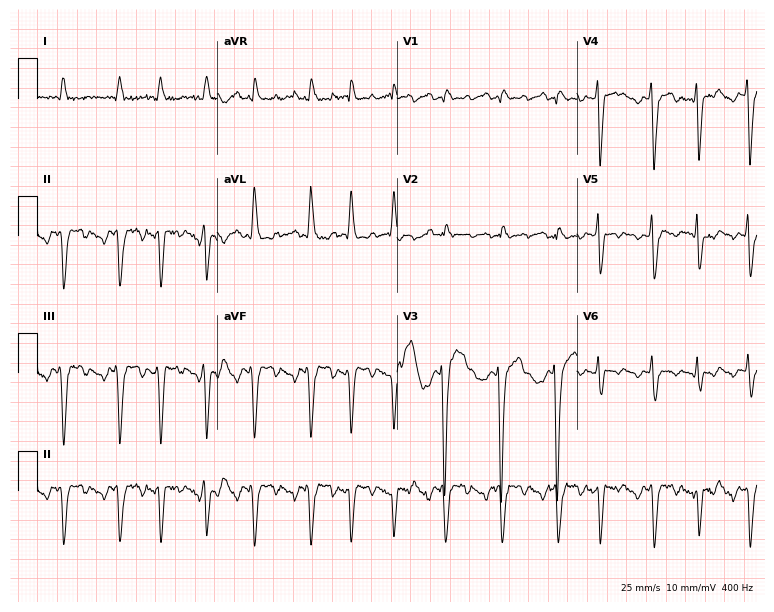
12-lead ECG from a 77-year-old man. Screened for six findings — first-degree AV block, right bundle branch block, left bundle branch block, sinus bradycardia, atrial fibrillation, sinus tachycardia — none is recorded.